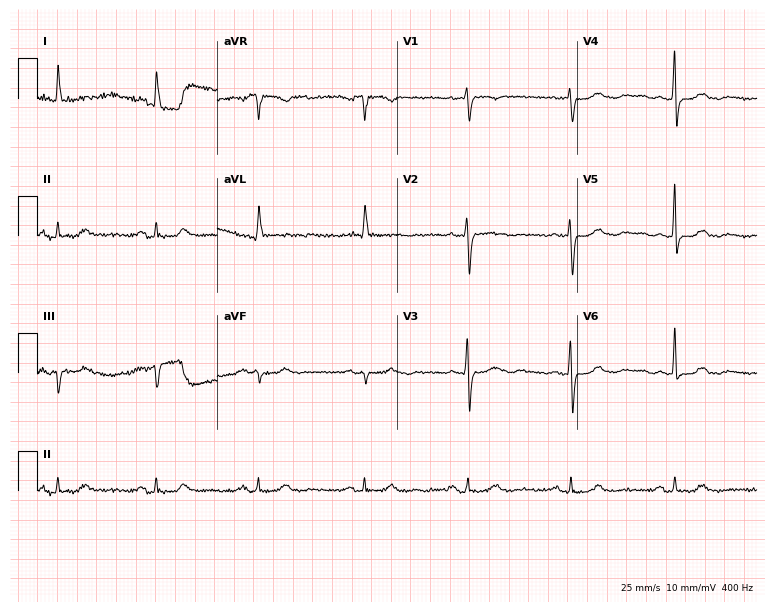
ECG — a female patient, 76 years old. Screened for six findings — first-degree AV block, right bundle branch block, left bundle branch block, sinus bradycardia, atrial fibrillation, sinus tachycardia — none is recorded.